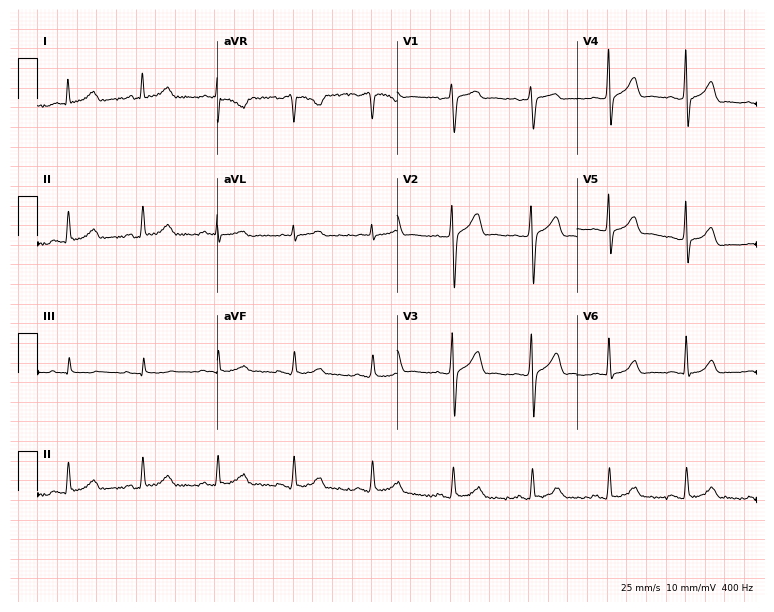
Standard 12-lead ECG recorded from a 43-year-old male (7.3-second recording at 400 Hz). None of these six findings is recorded: first-degree AV block, right bundle branch block (RBBB), left bundle branch block (LBBB), sinus bradycardia, atrial fibrillation (AF), sinus tachycardia.